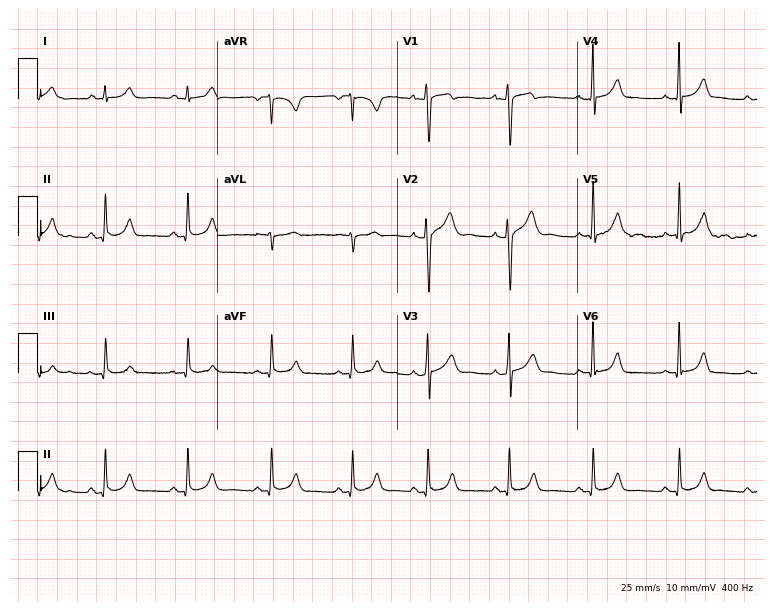
12-lead ECG (7.3-second recording at 400 Hz) from a 19-year-old male. Labelled as a normal ECG.